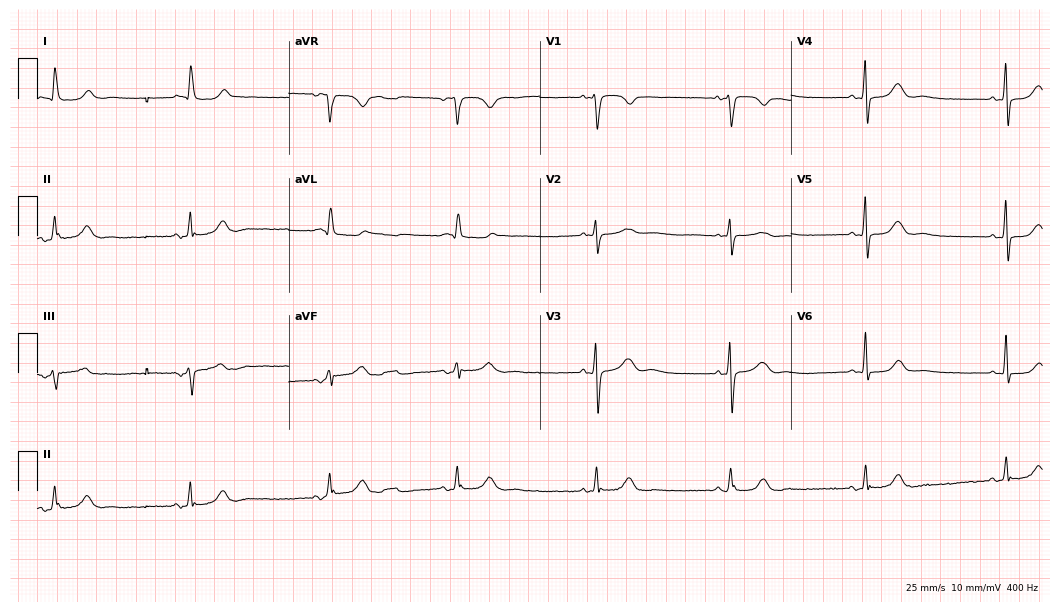
12-lead ECG from a woman, 78 years old. Findings include sinus bradycardia (a sinus rate of 50 beats per minute or less).